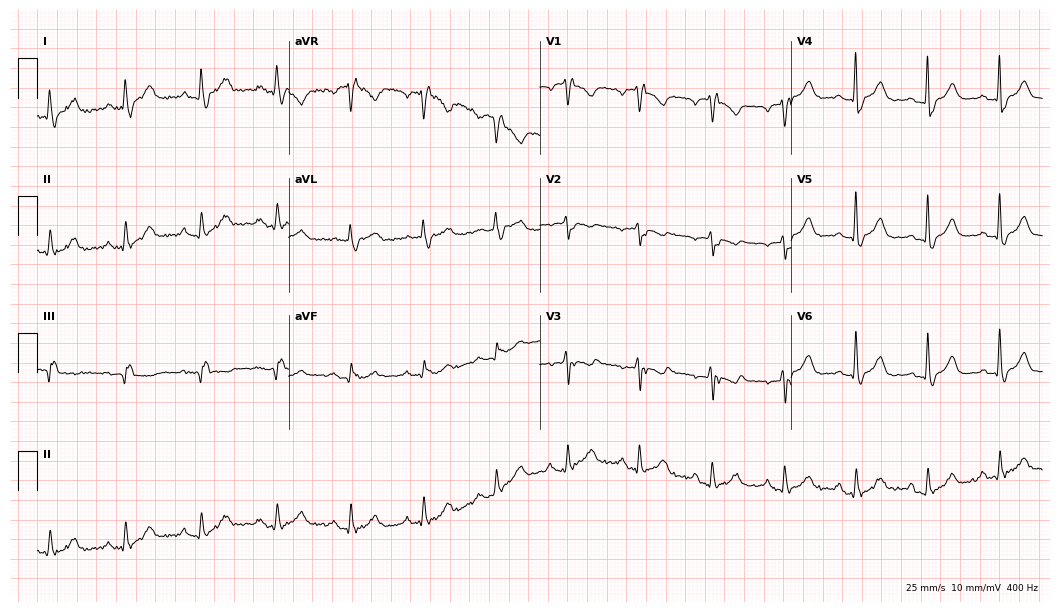
12-lead ECG from a female patient, 61 years old (10.2-second recording at 400 Hz). No first-degree AV block, right bundle branch block, left bundle branch block, sinus bradycardia, atrial fibrillation or sinus tachycardia recorded for this tracing.